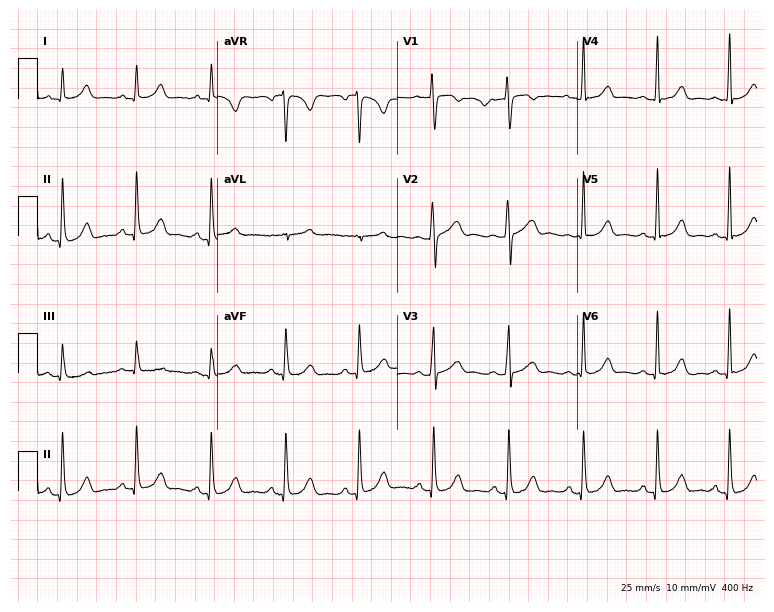
Electrocardiogram (7.3-second recording at 400 Hz), a 38-year-old female. Overall reading on record: normal ECG.